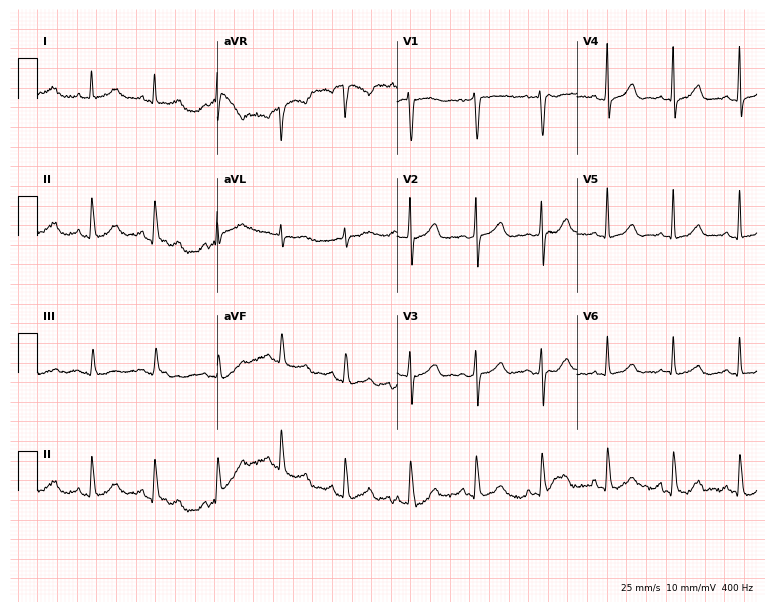
12-lead ECG from a 77-year-old female patient (7.3-second recording at 400 Hz). Recorded interpretation: within normal limits.